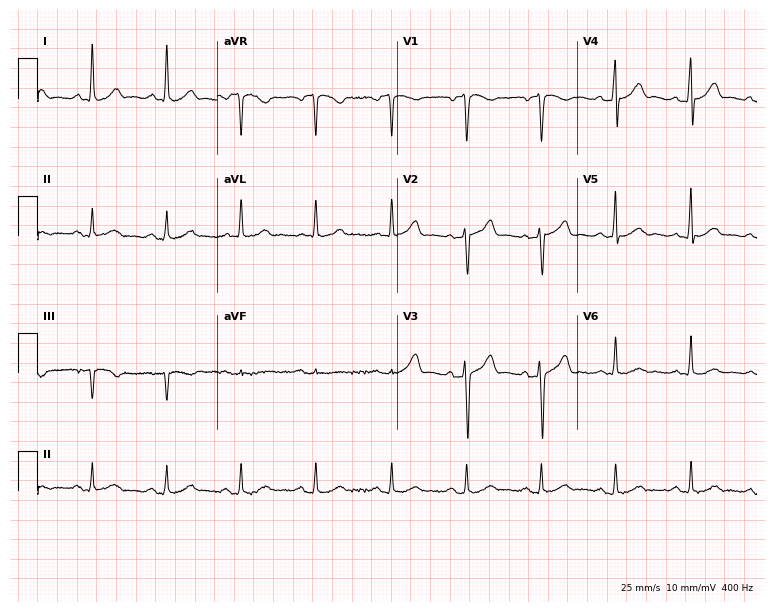
Resting 12-lead electrocardiogram (7.3-second recording at 400 Hz). Patient: a 69-year-old man. Read as a normal ECG.